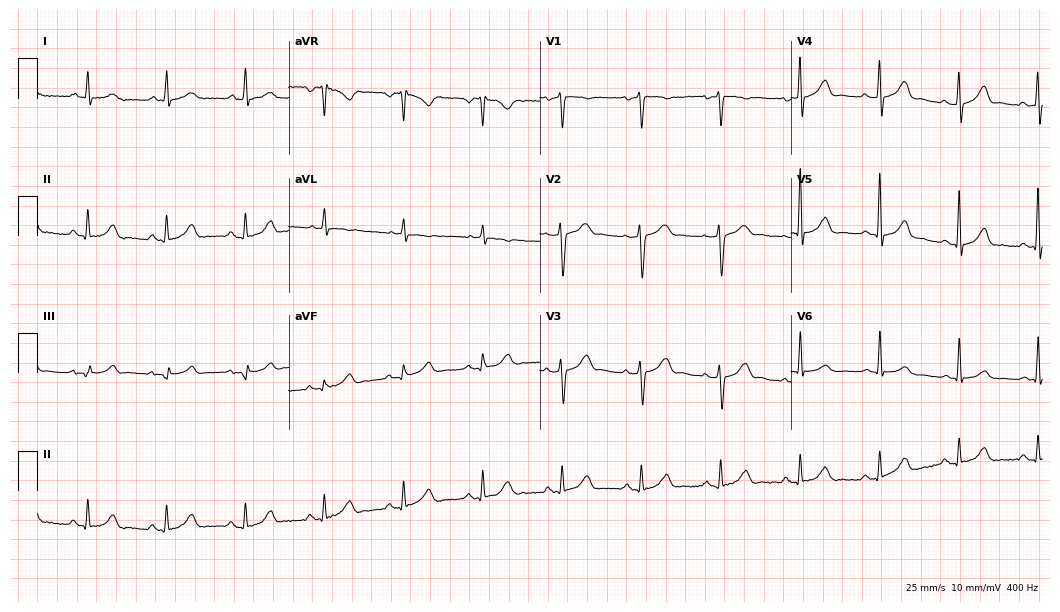
12-lead ECG from a man, 67 years old. Labelled as a normal ECG.